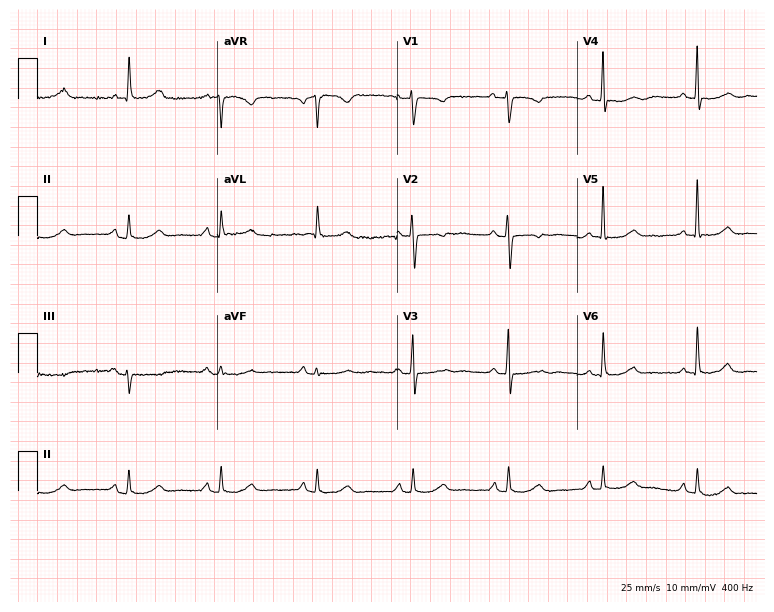
12-lead ECG from a 72-year-old female. Screened for six findings — first-degree AV block, right bundle branch block, left bundle branch block, sinus bradycardia, atrial fibrillation, sinus tachycardia — none is recorded.